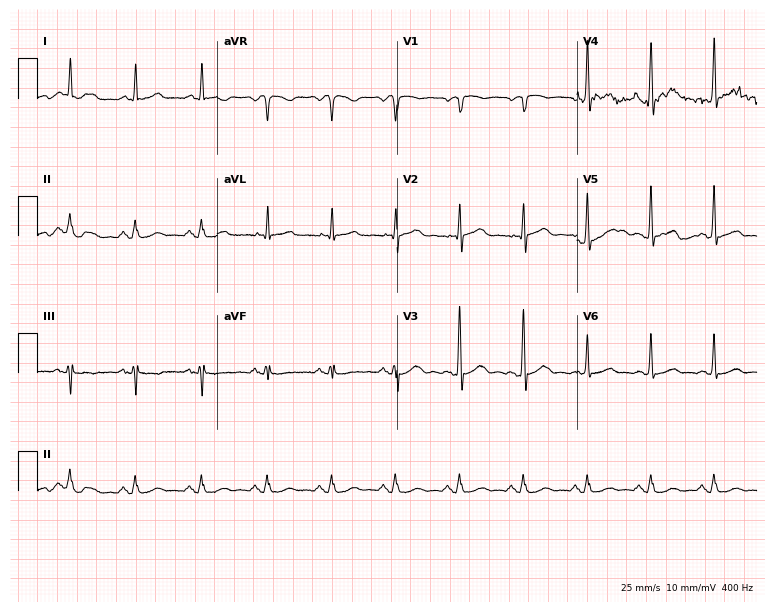
ECG (7.3-second recording at 400 Hz) — a 60-year-old male patient. Labelled as a normal ECG.